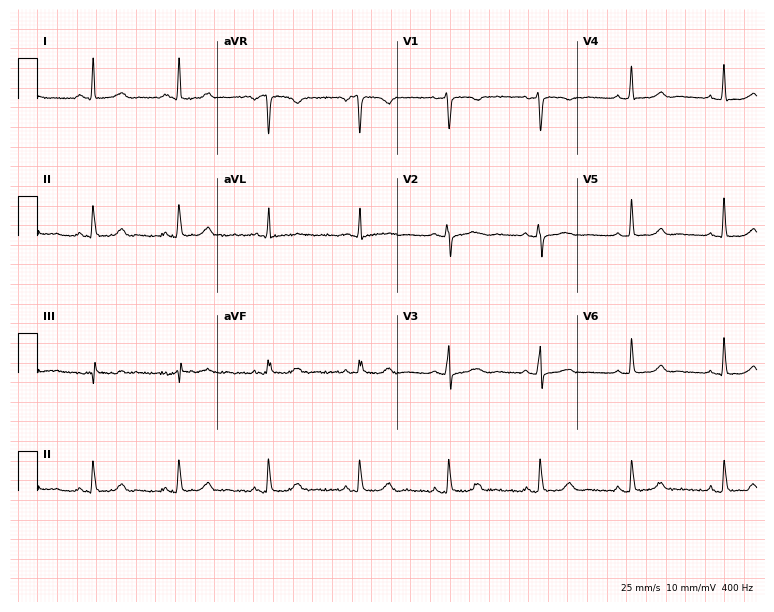
12-lead ECG (7.3-second recording at 400 Hz) from a 45-year-old woman. Labelled as a normal ECG.